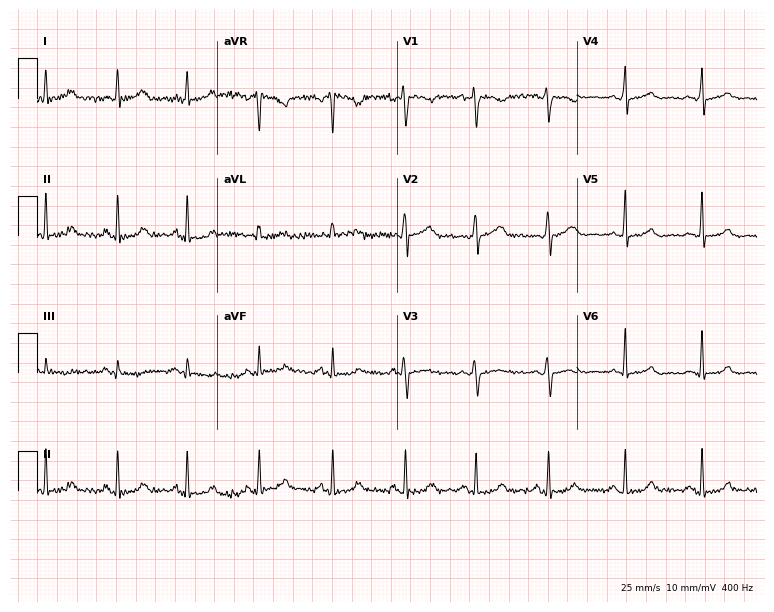
Resting 12-lead electrocardiogram. Patient: a 39-year-old woman. Read as a normal ECG.